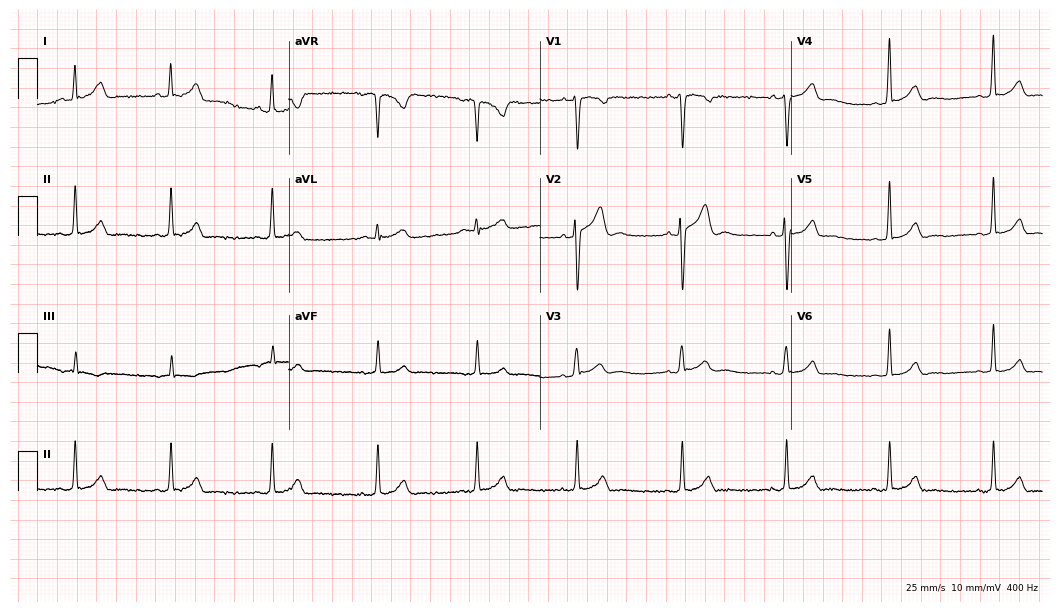
12-lead ECG from a 21-year-old man. Recorded interpretation: within normal limits.